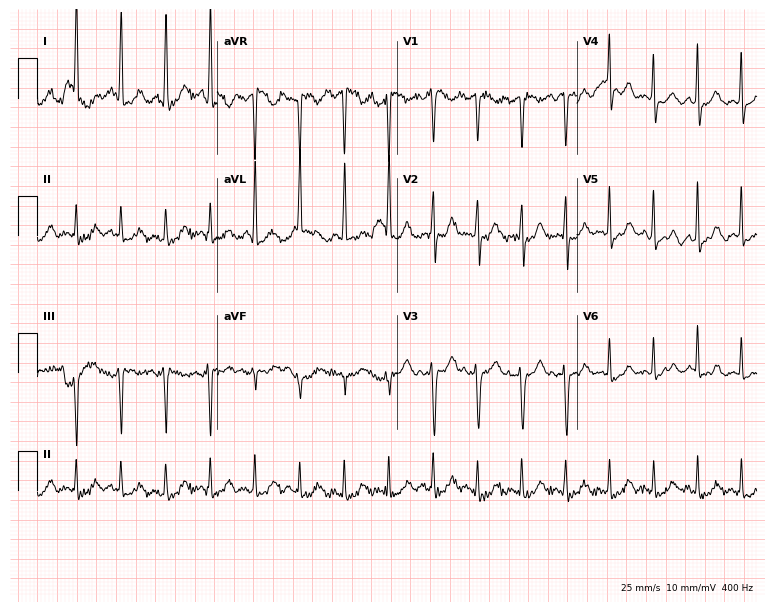
Electrocardiogram, a woman, 53 years old. Interpretation includes sinus tachycardia (a sinus rate of 100 beats per minute or more).